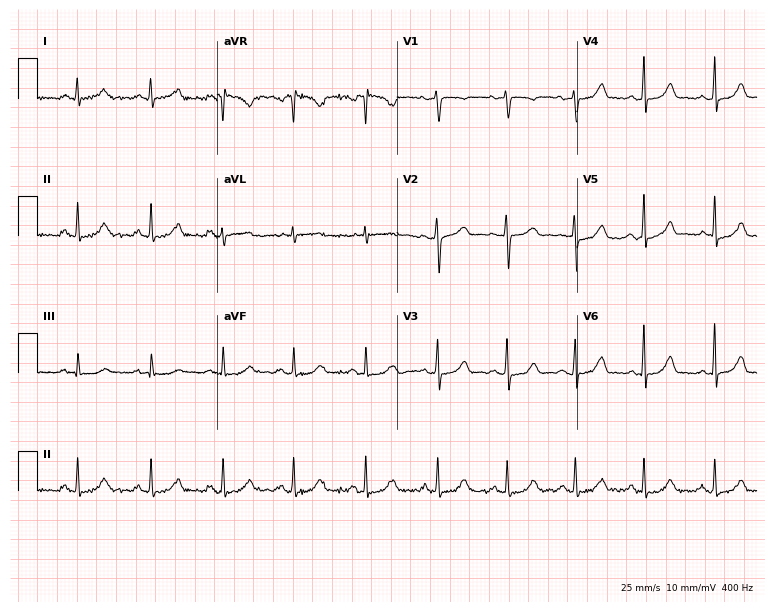
Resting 12-lead electrocardiogram. Patient: a 30-year-old female. None of these six findings is recorded: first-degree AV block, right bundle branch block, left bundle branch block, sinus bradycardia, atrial fibrillation, sinus tachycardia. Only these six findings were labelled.